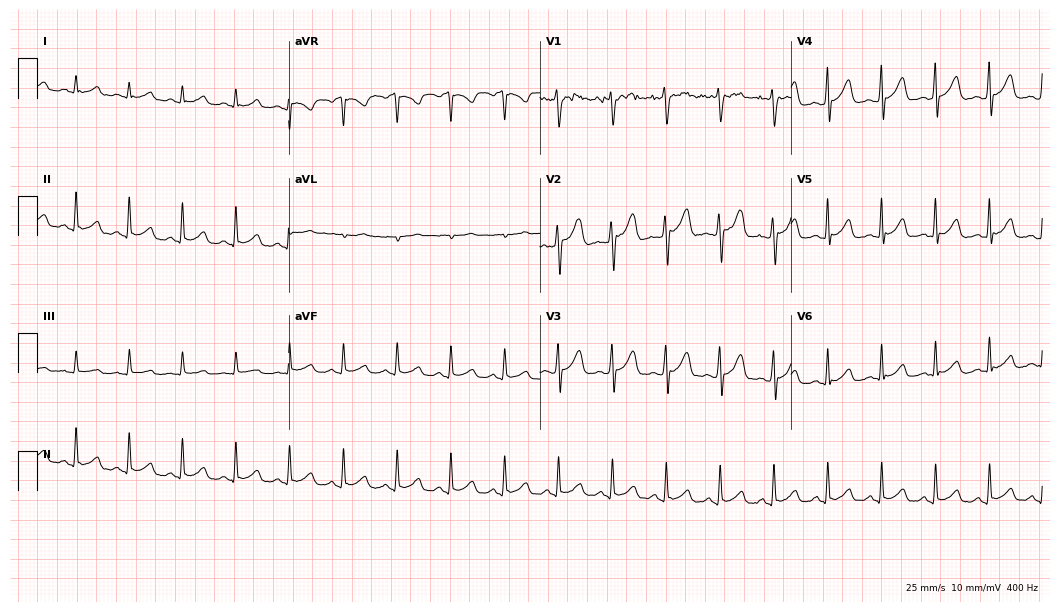
ECG — a man, 49 years old. Screened for six findings — first-degree AV block, right bundle branch block (RBBB), left bundle branch block (LBBB), sinus bradycardia, atrial fibrillation (AF), sinus tachycardia — none is recorded.